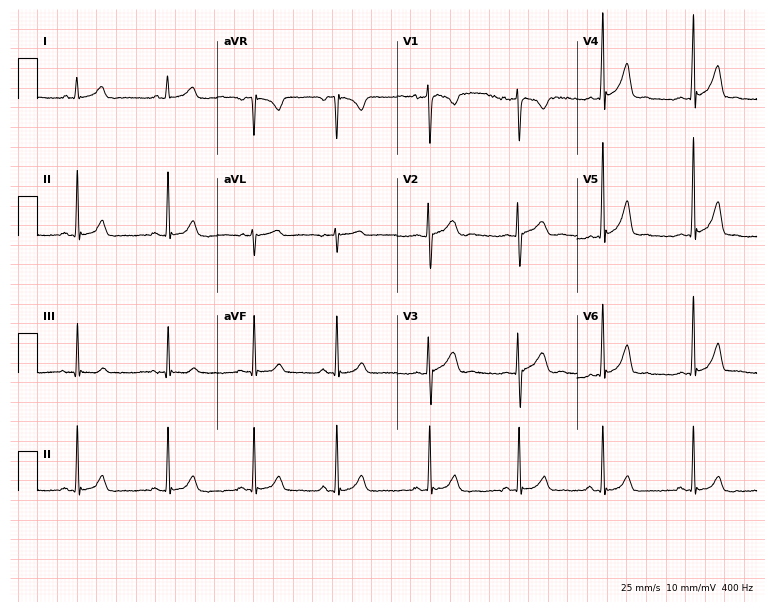
Resting 12-lead electrocardiogram (7.3-second recording at 400 Hz). Patient: a female, 18 years old. Read as a normal ECG.